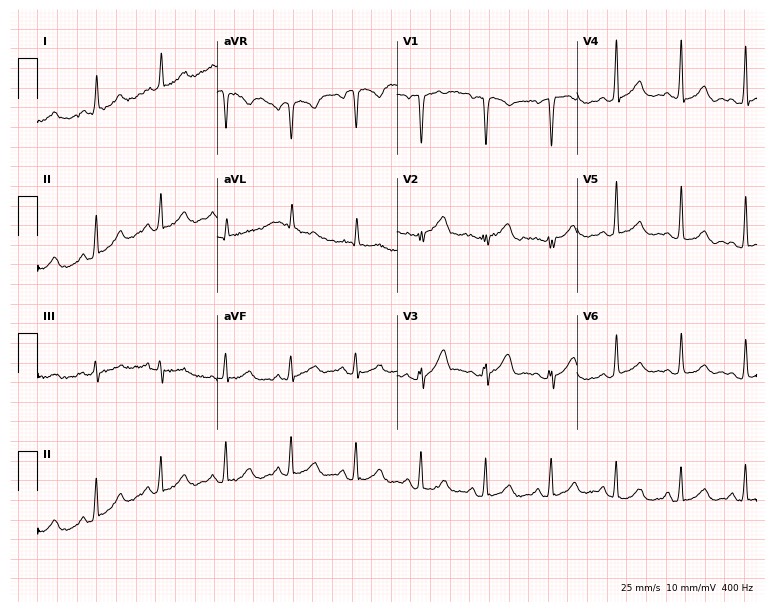
12-lead ECG from a female patient, 54 years old. No first-degree AV block, right bundle branch block, left bundle branch block, sinus bradycardia, atrial fibrillation or sinus tachycardia recorded for this tracing.